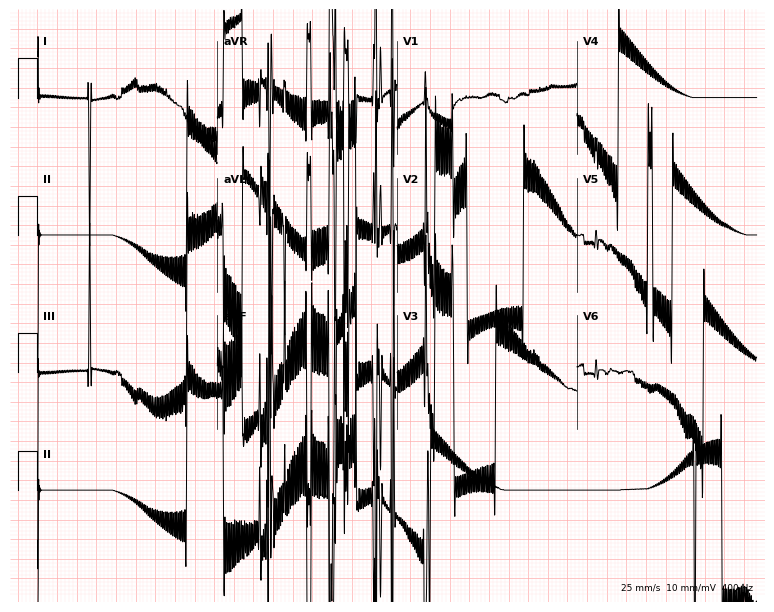
12-lead ECG from a 60-year-old female patient. No first-degree AV block, right bundle branch block, left bundle branch block, sinus bradycardia, atrial fibrillation or sinus tachycardia recorded for this tracing. Only these six findings were labelled.